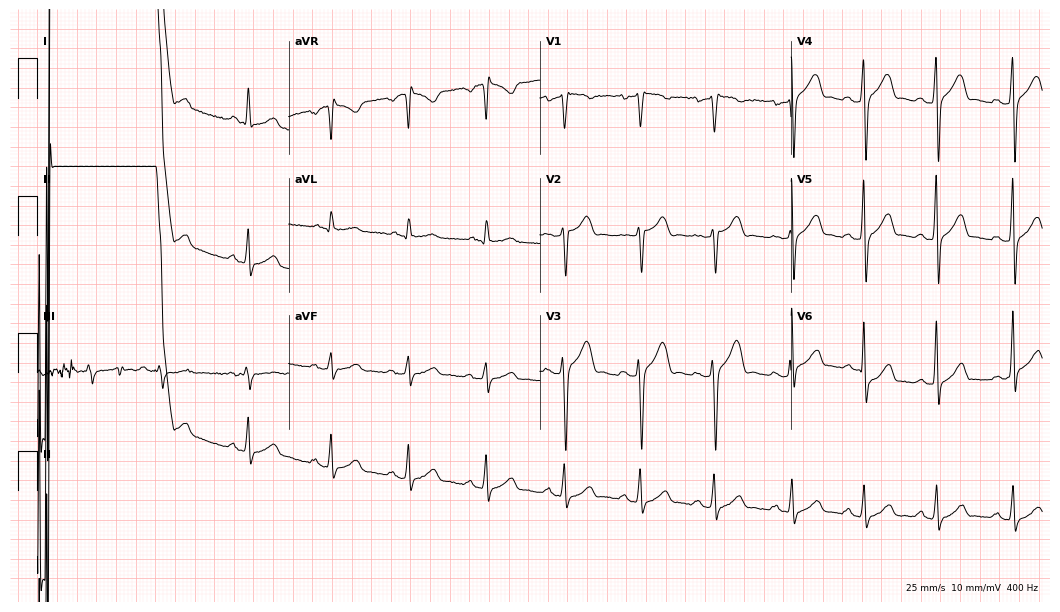
12-lead ECG from a 46-year-old man (10.2-second recording at 400 Hz). No first-degree AV block, right bundle branch block, left bundle branch block, sinus bradycardia, atrial fibrillation or sinus tachycardia recorded for this tracing.